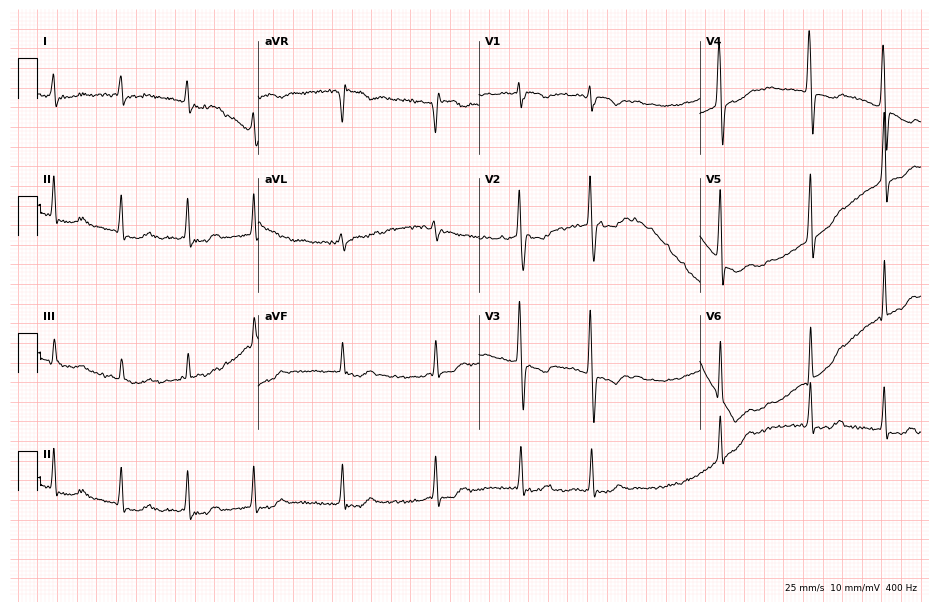
Resting 12-lead electrocardiogram (9-second recording at 400 Hz). Patient: a 47-year-old woman. The tracing shows atrial fibrillation.